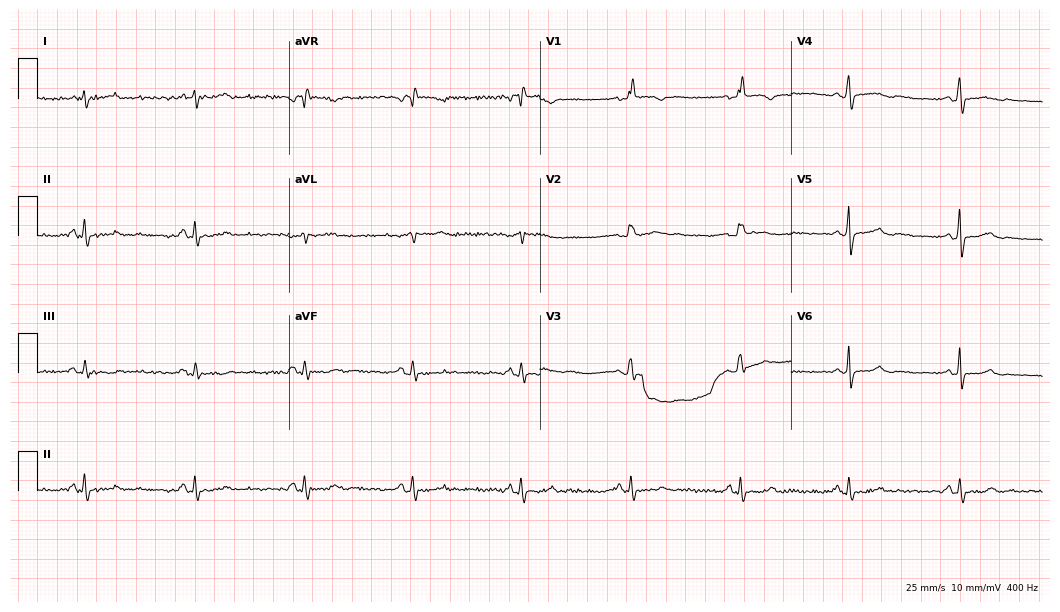
Resting 12-lead electrocardiogram. Patient: a female, 64 years old. None of these six findings is recorded: first-degree AV block, right bundle branch block, left bundle branch block, sinus bradycardia, atrial fibrillation, sinus tachycardia. Other findings, if any, are not listed.